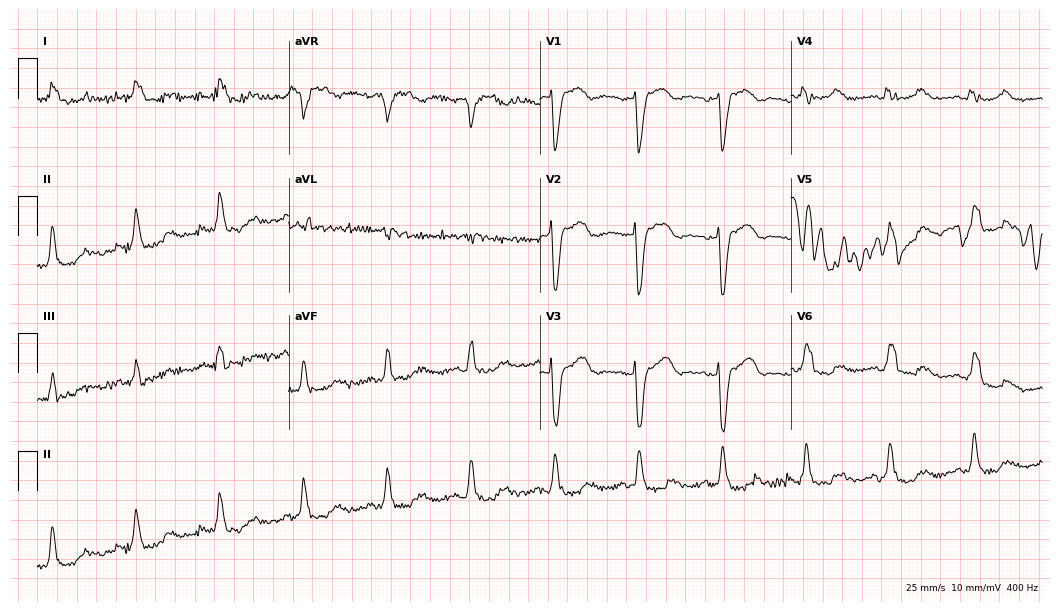
Standard 12-lead ECG recorded from an 85-year-old female. None of these six findings is recorded: first-degree AV block, right bundle branch block (RBBB), left bundle branch block (LBBB), sinus bradycardia, atrial fibrillation (AF), sinus tachycardia. Only these six findings were labelled.